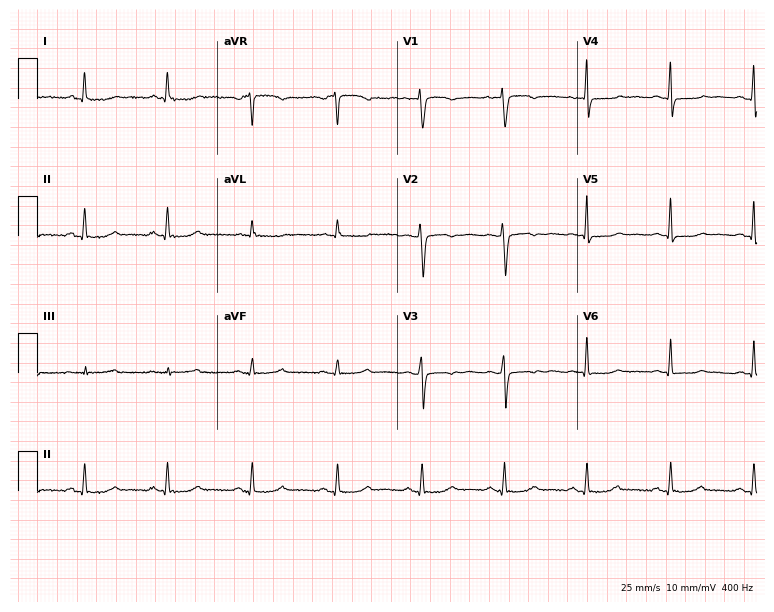
12-lead ECG from a female, 51 years old (7.3-second recording at 400 Hz). No first-degree AV block, right bundle branch block, left bundle branch block, sinus bradycardia, atrial fibrillation or sinus tachycardia recorded for this tracing. Other findings, if any, are not listed.